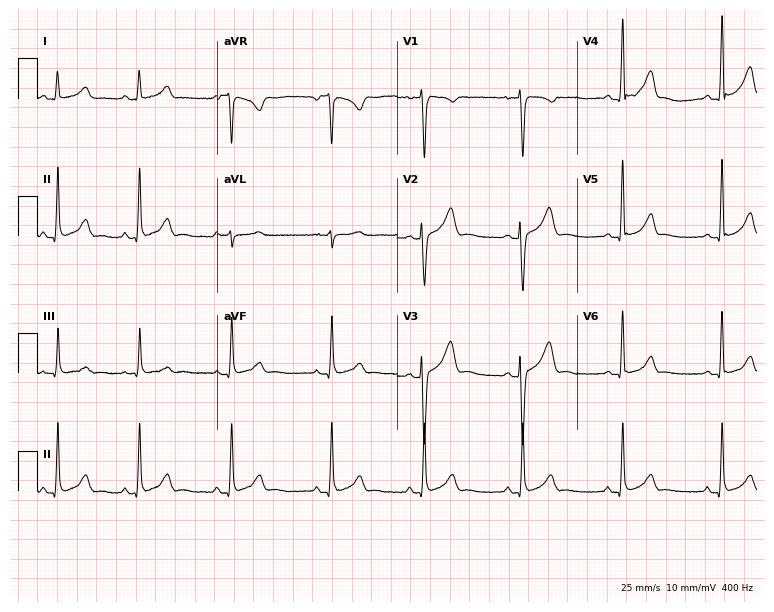
Electrocardiogram (7.3-second recording at 400 Hz), a 28-year-old female patient. Of the six screened findings (first-degree AV block, right bundle branch block, left bundle branch block, sinus bradycardia, atrial fibrillation, sinus tachycardia), none is recorded.